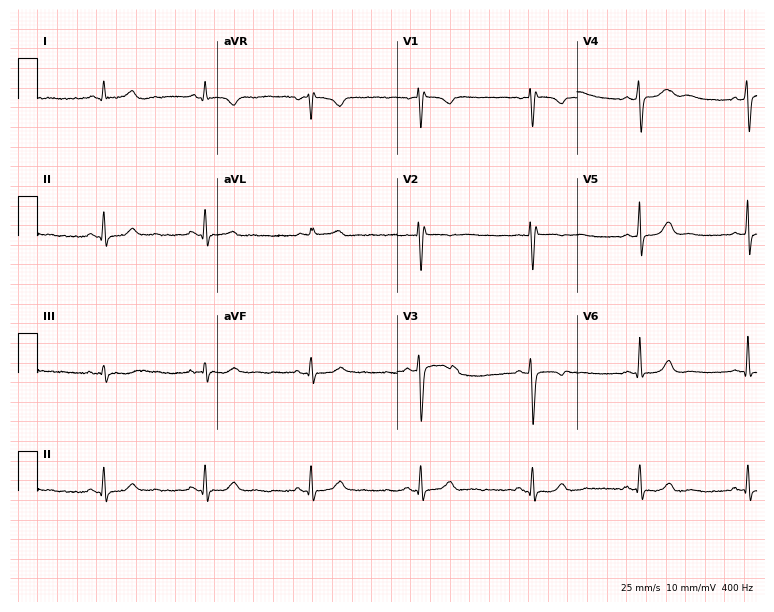
12-lead ECG (7.3-second recording at 400 Hz) from a female patient, 40 years old. Labelled as a normal ECG.